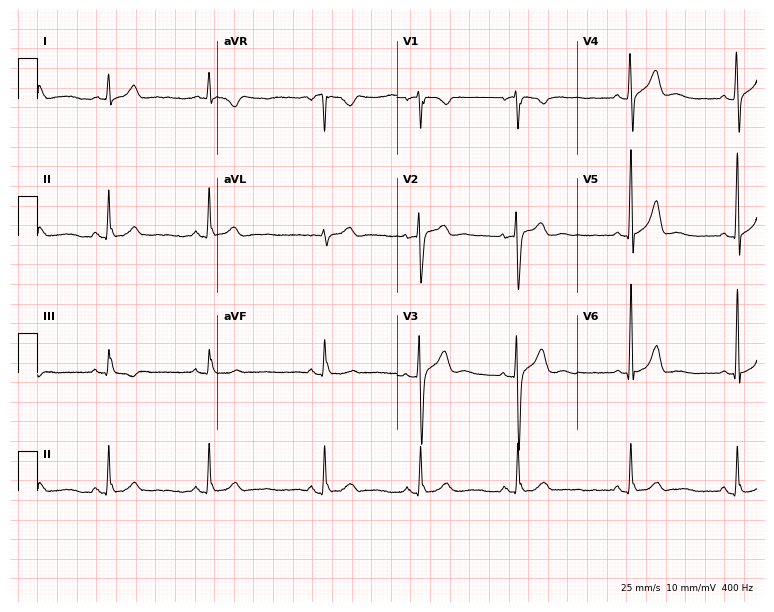
12-lead ECG from a 24-year-old man. Recorded interpretation: within normal limits.